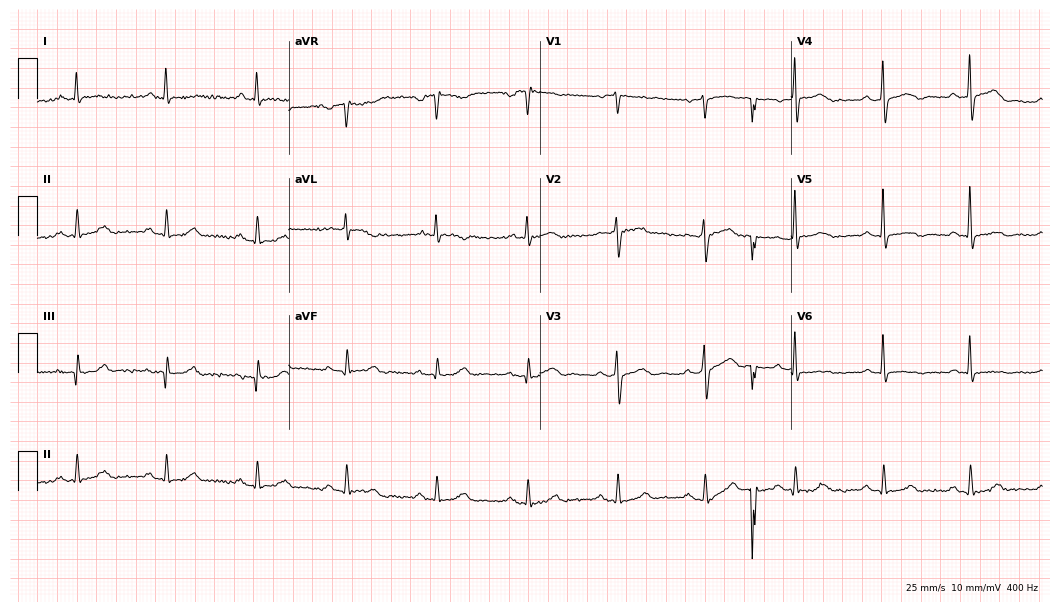
Resting 12-lead electrocardiogram. Patient: a 71-year-old man. None of these six findings is recorded: first-degree AV block, right bundle branch block, left bundle branch block, sinus bradycardia, atrial fibrillation, sinus tachycardia. Other findings, if any, are not listed.